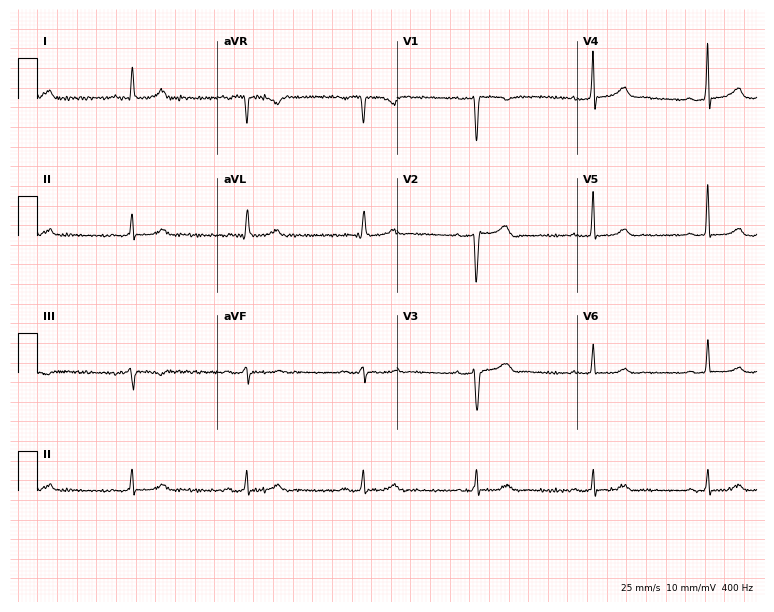
ECG — a 41-year-old woman. Screened for six findings — first-degree AV block, right bundle branch block, left bundle branch block, sinus bradycardia, atrial fibrillation, sinus tachycardia — none is recorded.